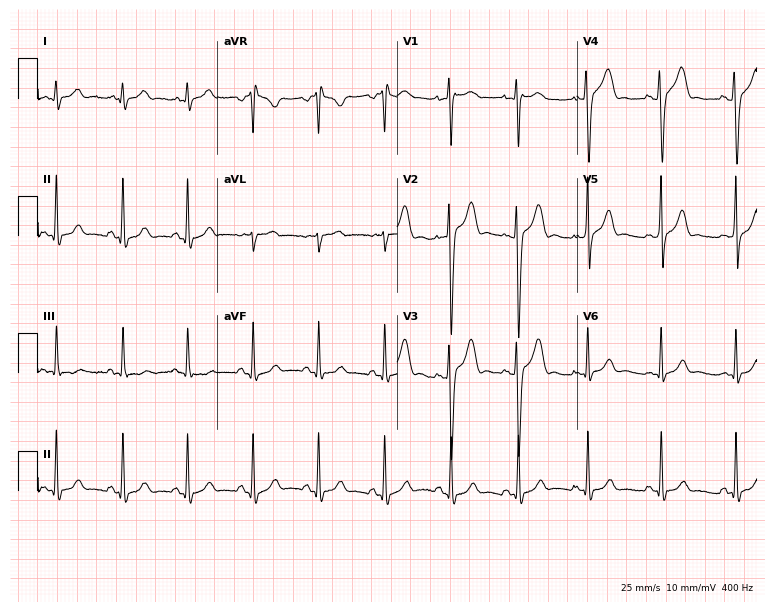
ECG — a woman, 19 years old. Labelled as a normal ECG.